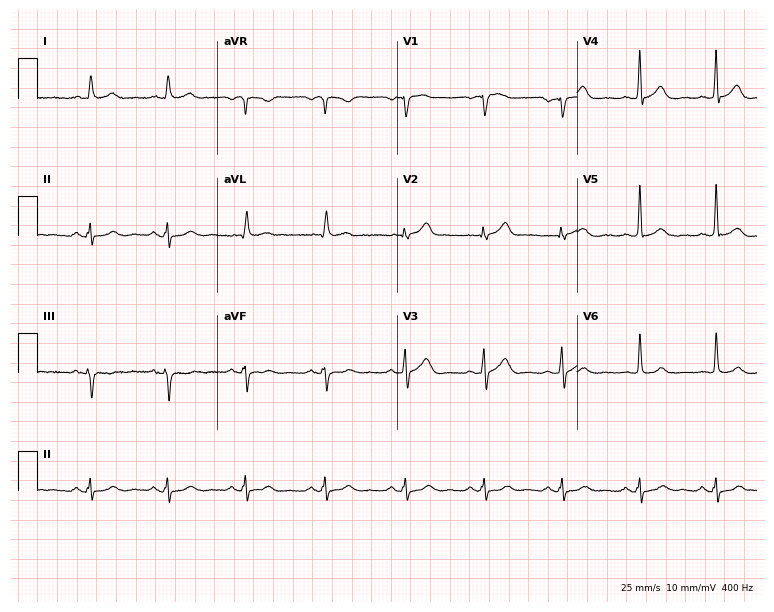
Standard 12-lead ECG recorded from a male patient, 77 years old. Read as a normal ECG.